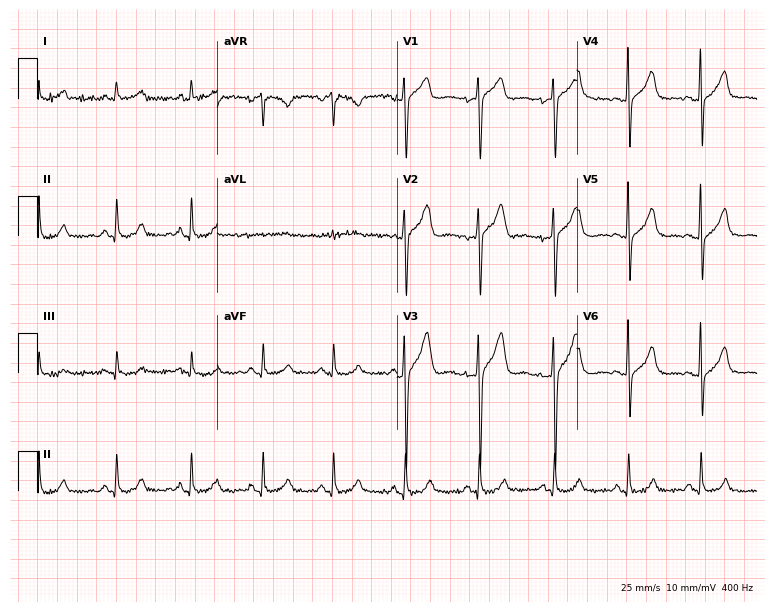
Electrocardiogram (7.3-second recording at 400 Hz), a male, 38 years old. Overall reading on record: normal ECG.